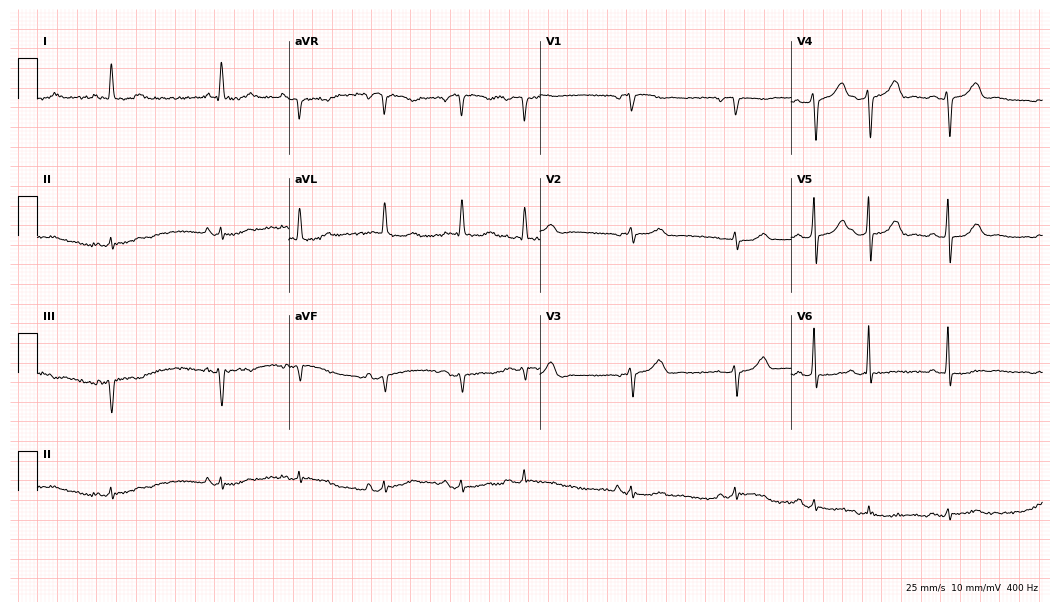
Standard 12-lead ECG recorded from an 83-year-old woman (10.2-second recording at 400 Hz). None of these six findings is recorded: first-degree AV block, right bundle branch block, left bundle branch block, sinus bradycardia, atrial fibrillation, sinus tachycardia.